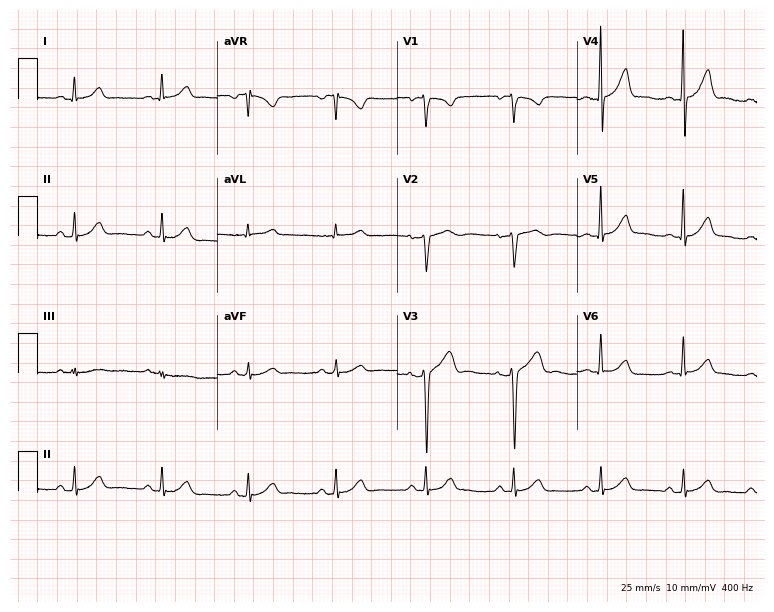
Electrocardiogram, a 36-year-old male patient. Overall reading on record: normal ECG.